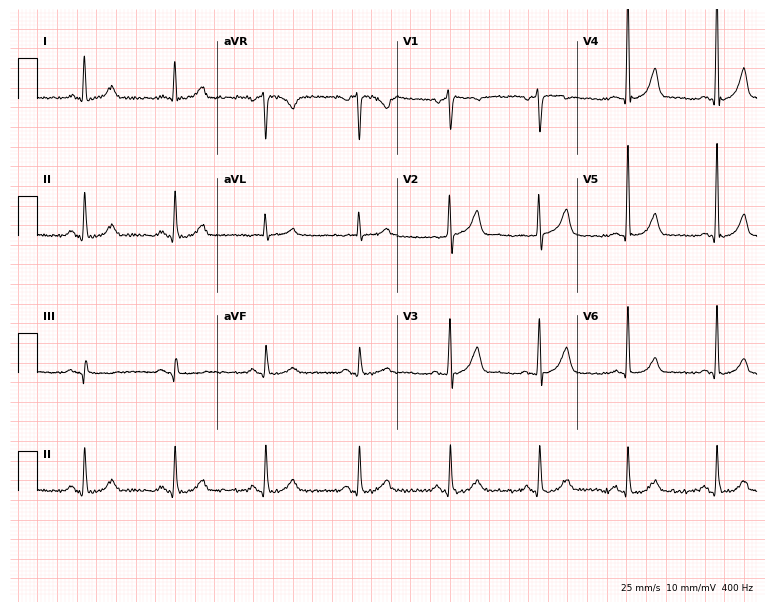
ECG (7.3-second recording at 400 Hz) — a male, 76 years old. Labelled as a normal ECG.